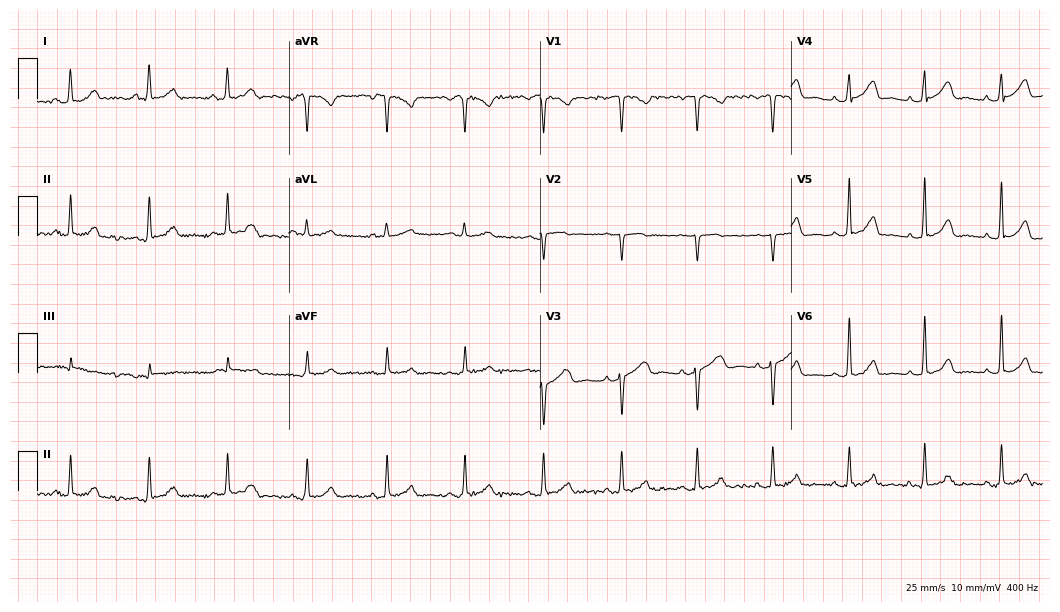
Electrocardiogram, a 39-year-old female. Of the six screened findings (first-degree AV block, right bundle branch block (RBBB), left bundle branch block (LBBB), sinus bradycardia, atrial fibrillation (AF), sinus tachycardia), none is recorded. Other findings, if any, are not listed.